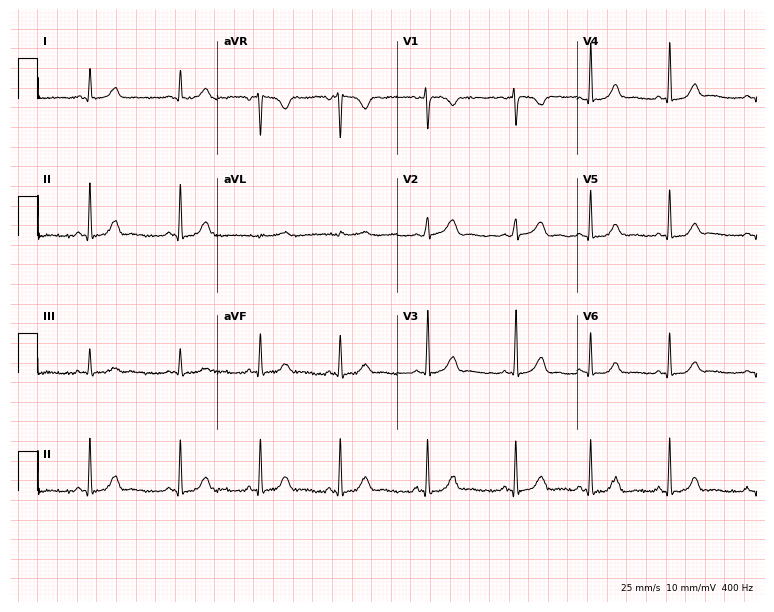
Standard 12-lead ECG recorded from a 23-year-old female patient (7.3-second recording at 400 Hz). Read as a normal ECG.